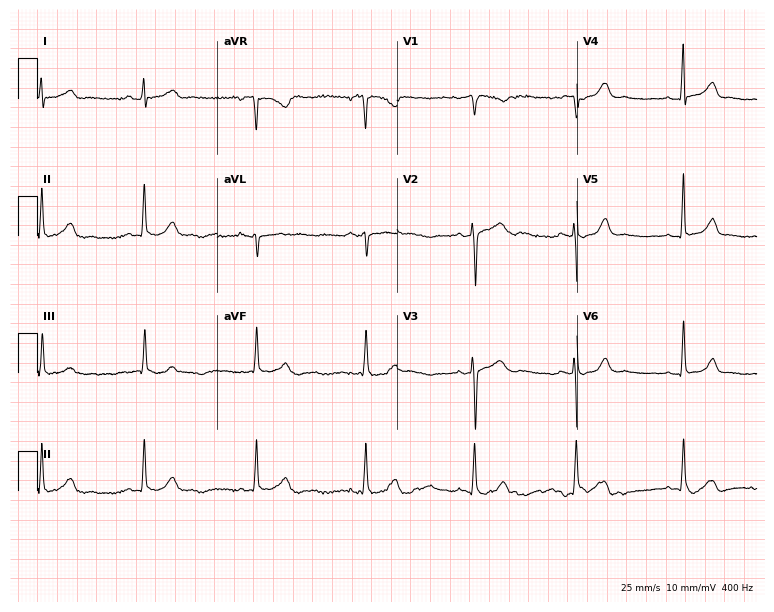
12-lead ECG from a female, 38 years old. Labelled as a normal ECG.